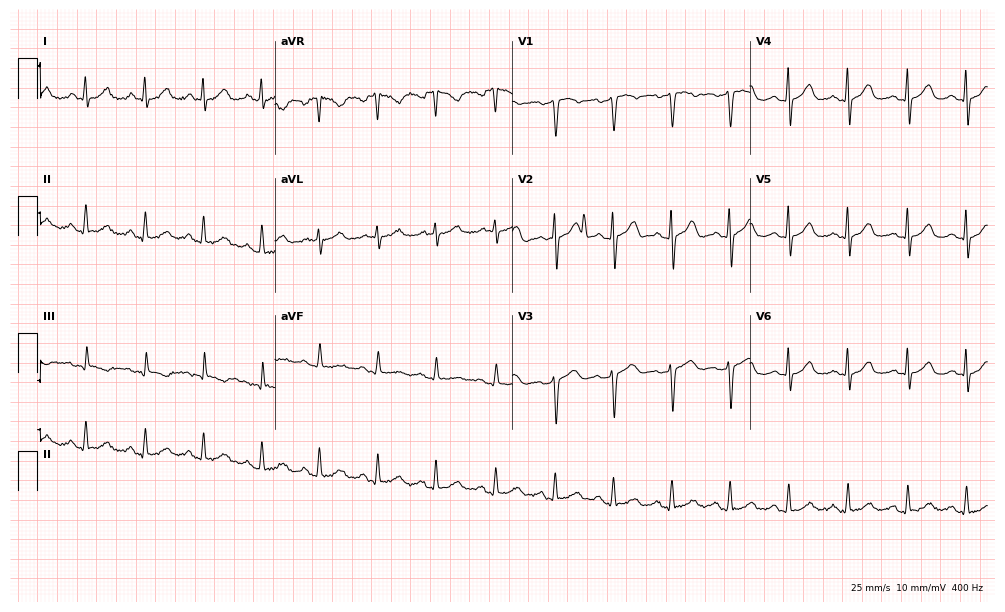
ECG (9.7-second recording at 400 Hz) — a 63-year-old female. Labelled as a normal ECG.